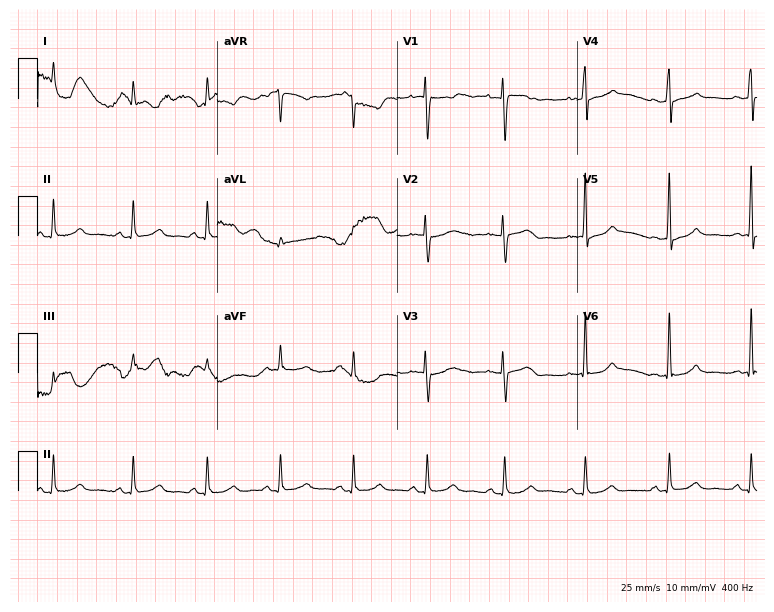
12-lead ECG from a woman, 48 years old. No first-degree AV block, right bundle branch block, left bundle branch block, sinus bradycardia, atrial fibrillation or sinus tachycardia recorded for this tracing. Other findings, if any, are not listed.